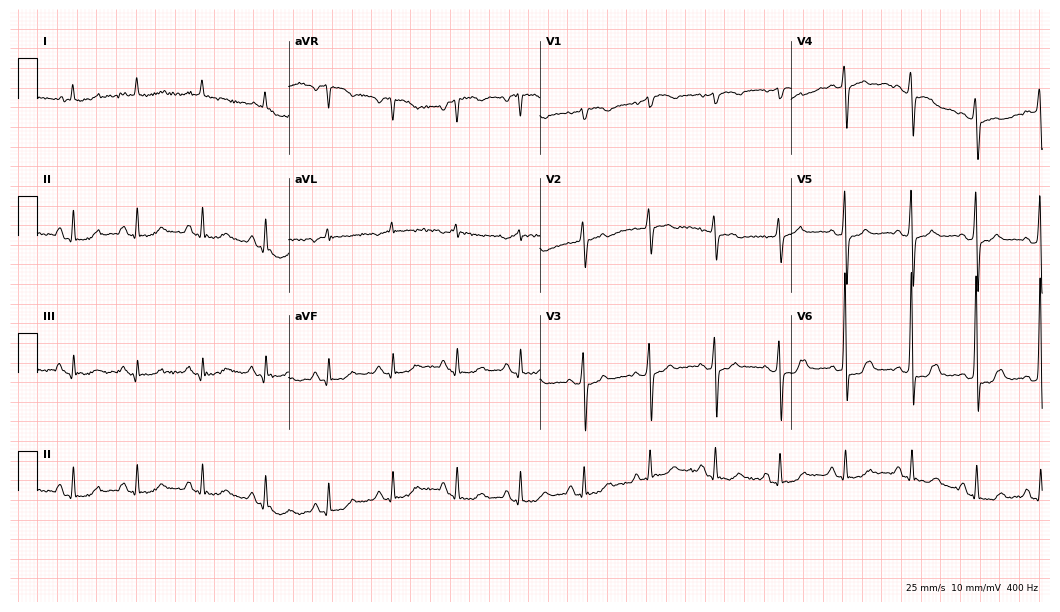
ECG — an 80-year-old female. Screened for six findings — first-degree AV block, right bundle branch block, left bundle branch block, sinus bradycardia, atrial fibrillation, sinus tachycardia — none is recorded.